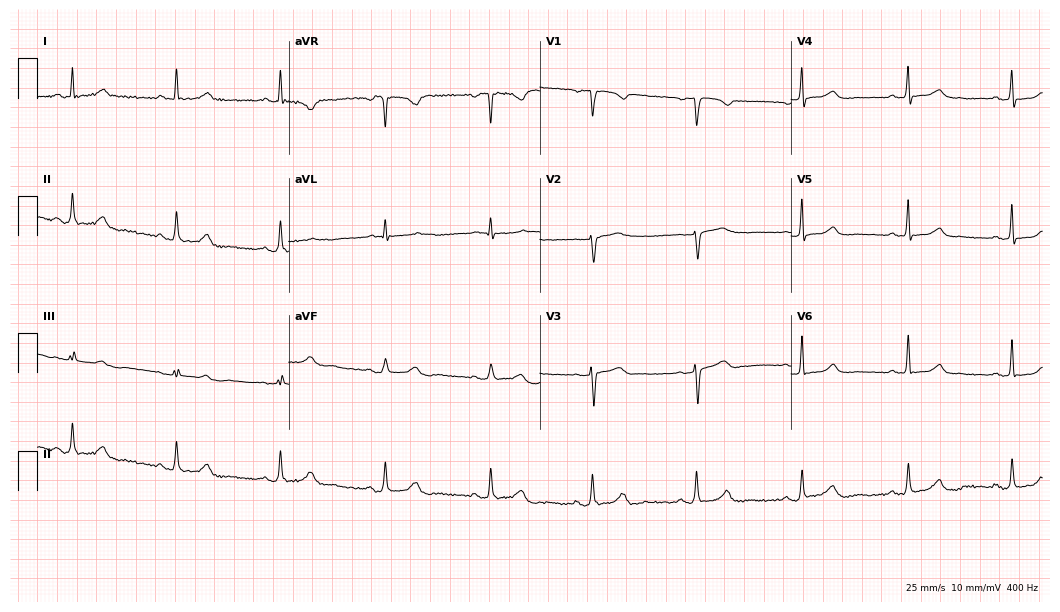
12-lead ECG from a female, 50 years old (10.2-second recording at 400 Hz). No first-degree AV block, right bundle branch block (RBBB), left bundle branch block (LBBB), sinus bradycardia, atrial fibrillation (AF) or sinus tachycardia recorded for this tracing.